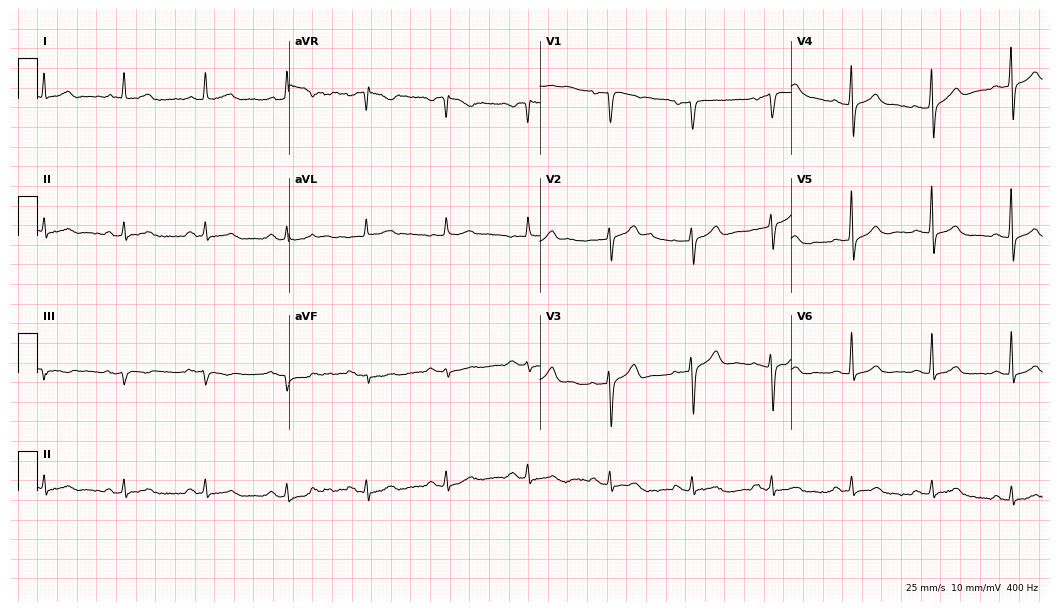
12-lead ECG from a 67-year-old man (10.2-second recording at 400 Hz). Recorded interpretation: within normal limits.